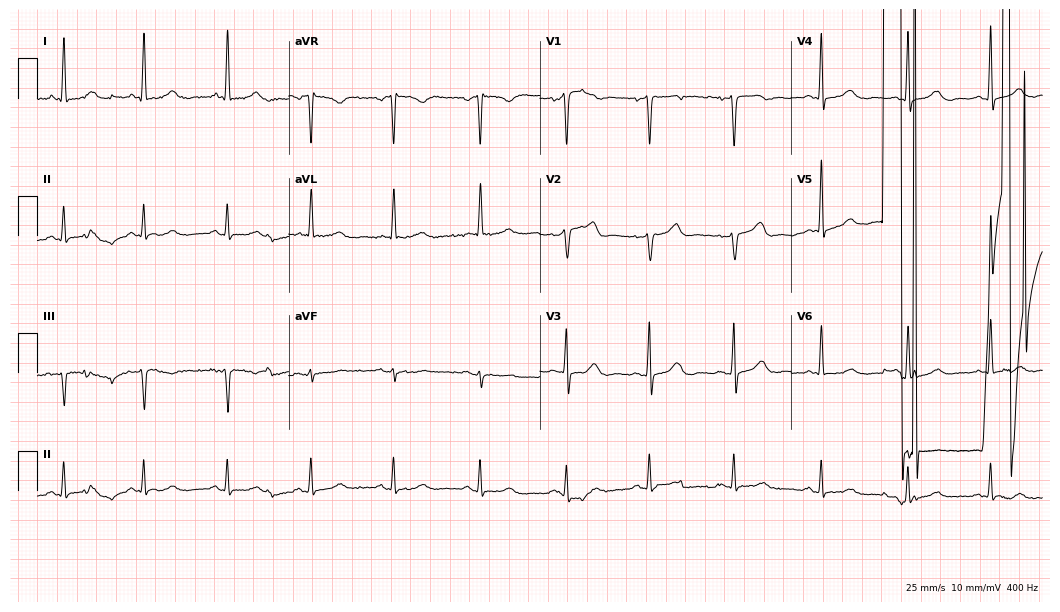
12-lead ECG (10.2-second recording at 400 Hz) from a woman, 61 years old. Screened for six findings — first-degree AV block, right bundle branch block, left bundle branch block, sinus bradycardia, atrial fibrillation, sinus tachycardia — none is recorded. Findings outside these six are not listed.